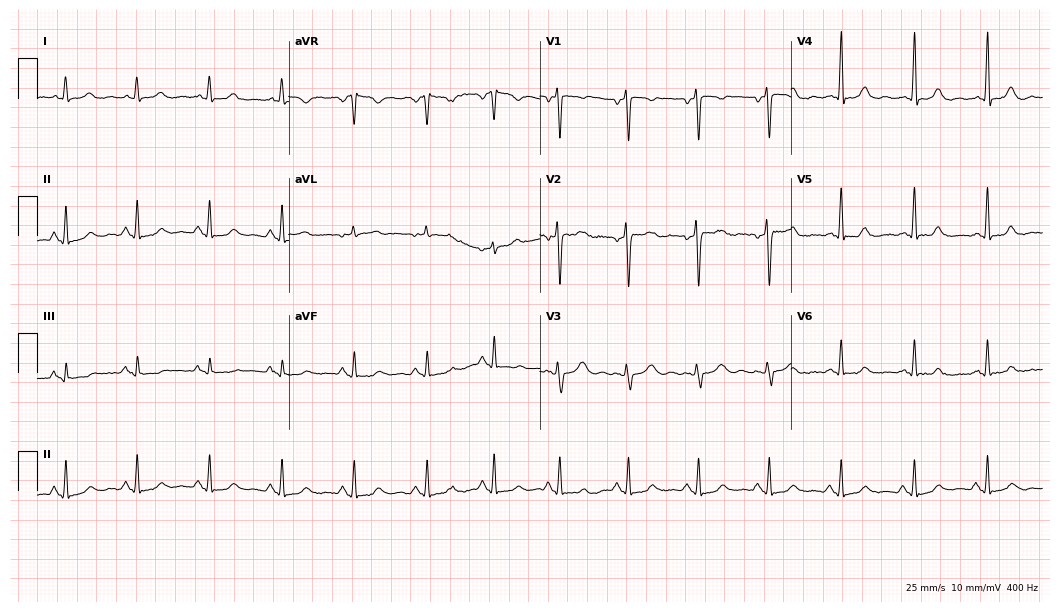
Standard 12-lead ECG recorded from a female, 41 years old. Read as a normal ECG.